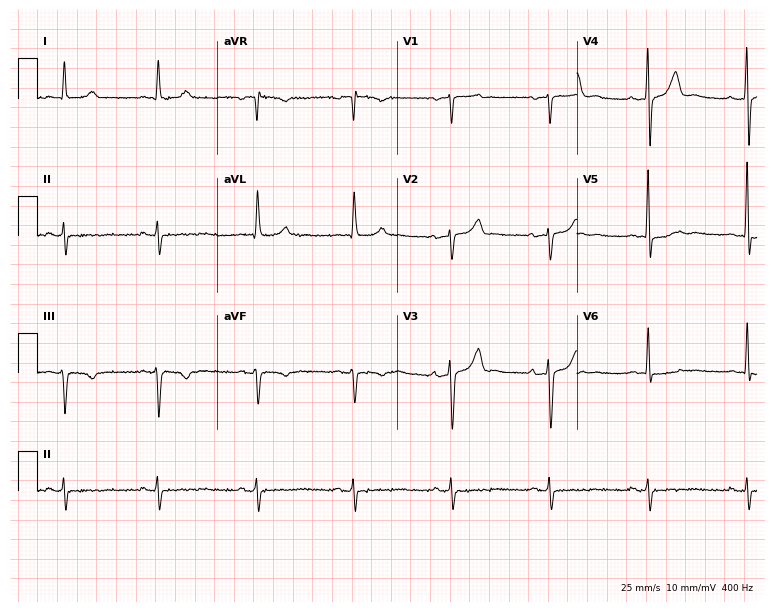
ECG (7.3-second recording at 400 Hz) — a female, 76 years old. Screened for six findings — first-degree AV block, right bundle branch block (RBBB), left bundle branch block (LBBB), sinus bradycardia, atrial fibrillation (AF), sinus tachycardia — none is recorded.